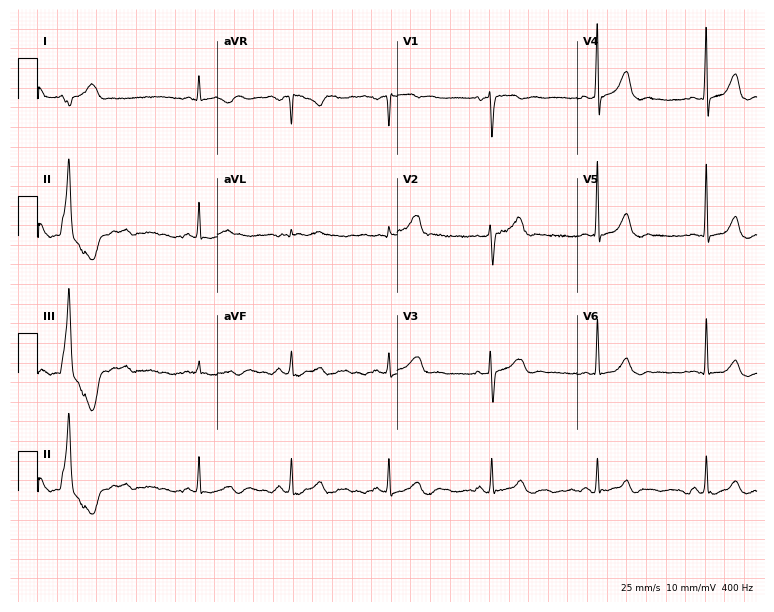
Electrocardiogram, a 44-year-old female. Of the six screened findings (first-degree AV block, right bundle branch block (RBBB), left bundle branch block (LBBB), sinus bradycardia, atrial fibrillation (AF), sinus tachycardia), none is recorded.